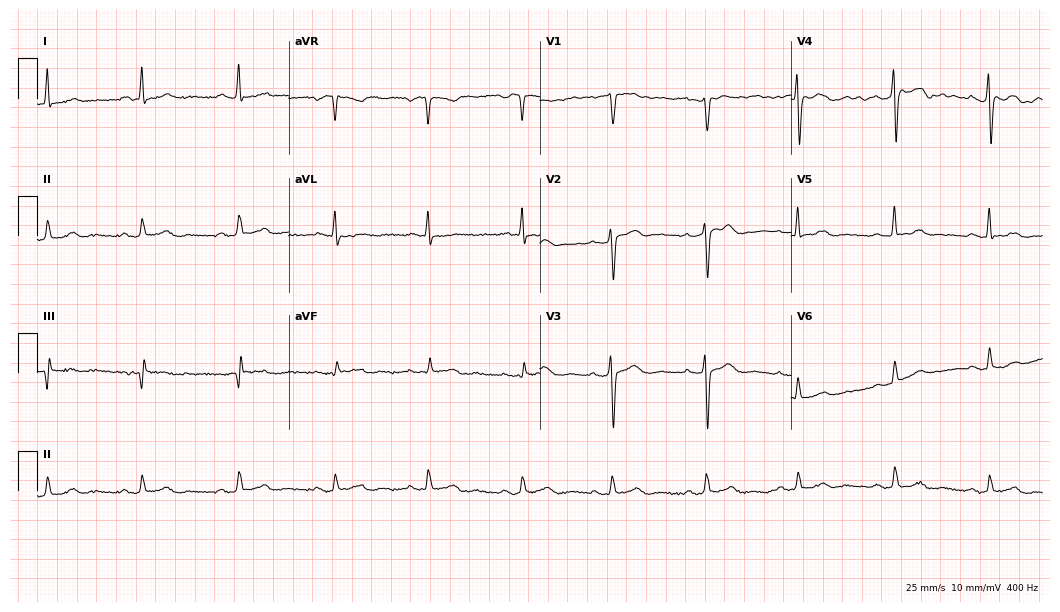
Resting 12-lead electrocardiogram (10.2-second recording at 400 Hz). Patient: a 45-year-old woman. Read as a normal ECG.